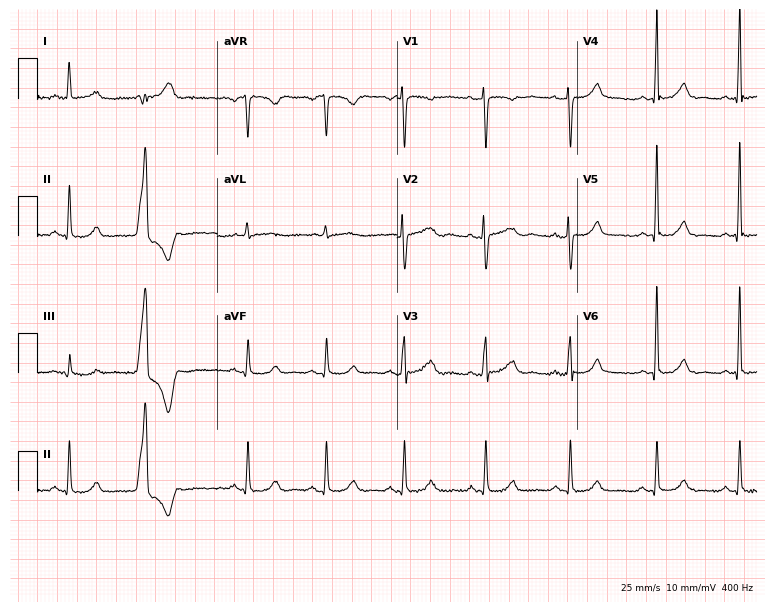
12-lead ECG from a female patient, 34 years old (7.3-second recording at 400 Hz). Recorded interpretation: within normal limits.